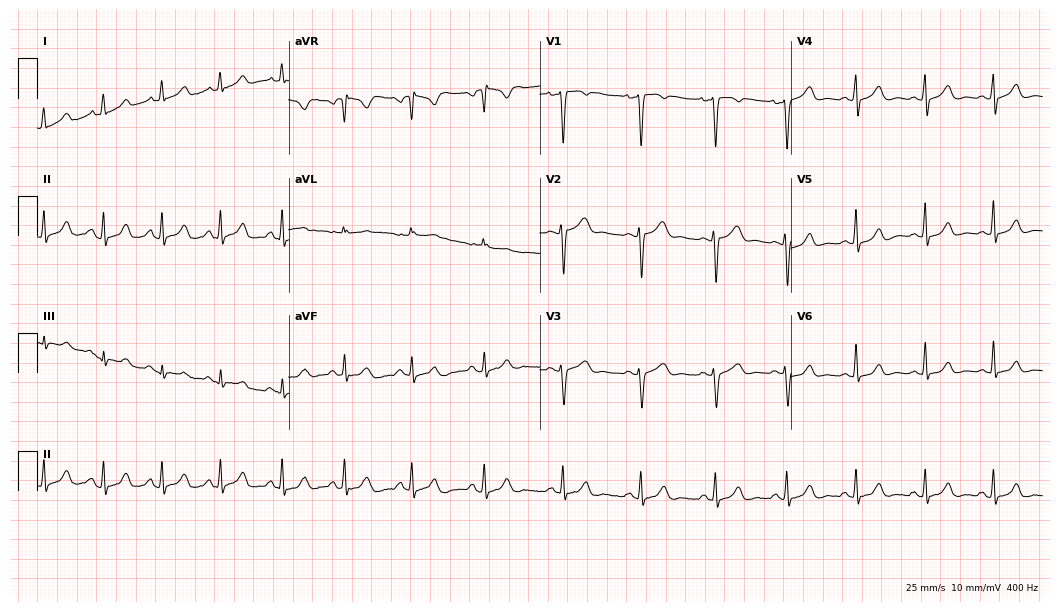
12-lead ECG from a 22-year-old woman. Screened for six findings — first-degree AV block, right bundle branch block, left bundle branch block, sinus bradycardia, atrial fibrillation, sinus tachycardia — none is recorded.